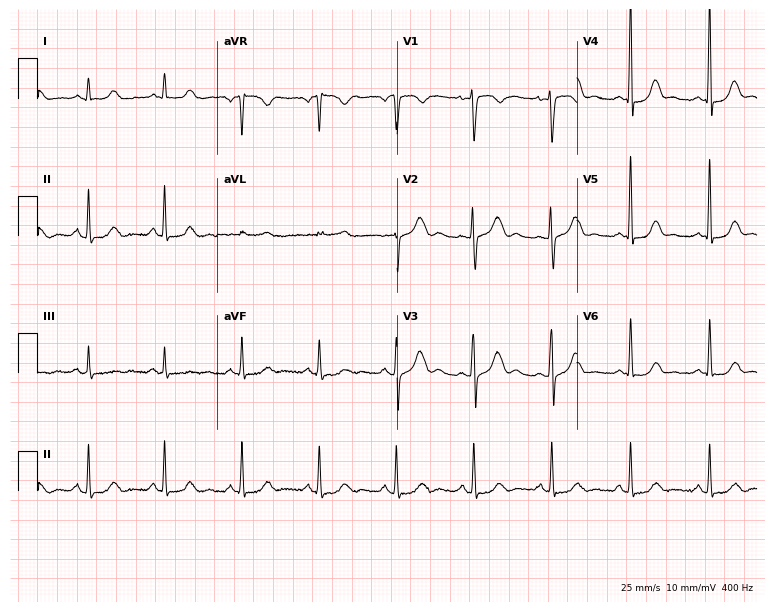
ECG — a 50-year-old woman. Screened for six findings — first-degree AV block, right bundle branch block, left bundle branch block, sinus bradycardia, atrial fibrillation, sinus tachycardia — none is recorded.